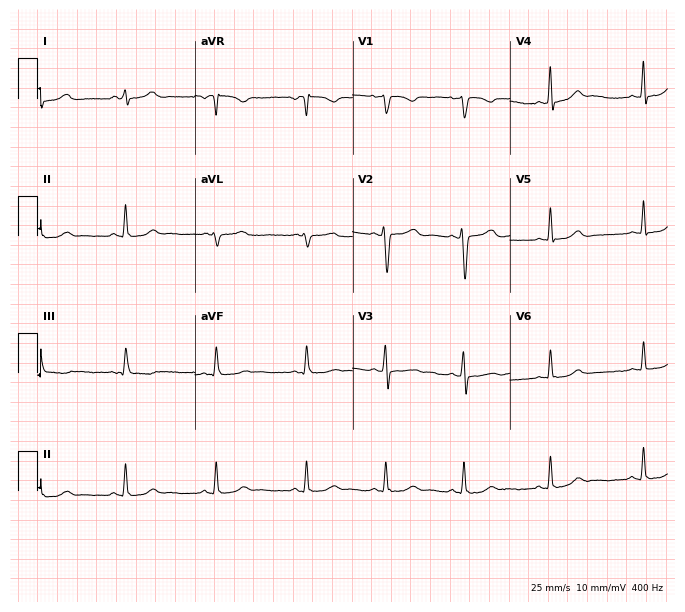
Standard 12-lead ECG recorded from a woman, 30 years old. Read as a normal ECG.